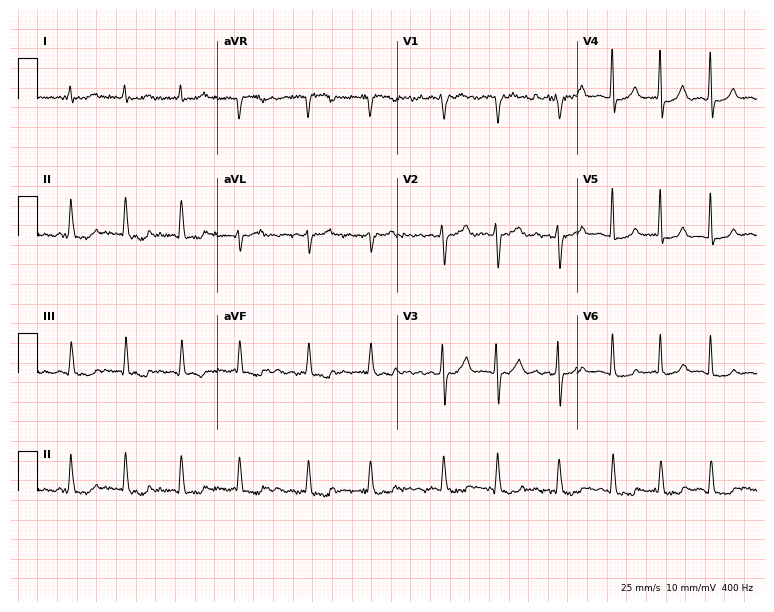
Resting 12-lead electrocardiogram (7.3-second recording at 400 Hz). Patient: a 71-year-old man. The tracing shows atrial fibrillation.